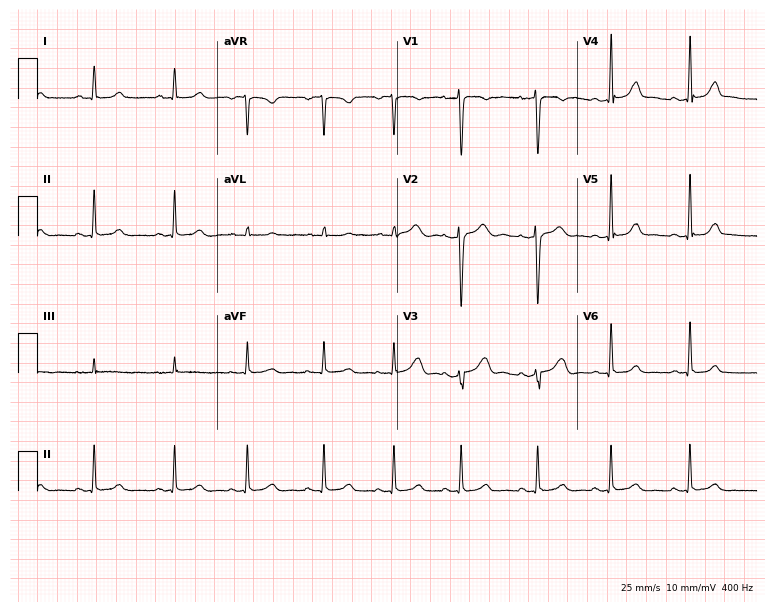
12-lead ECG from a female, 19 years old. Recorded interpretation: within normal limits.